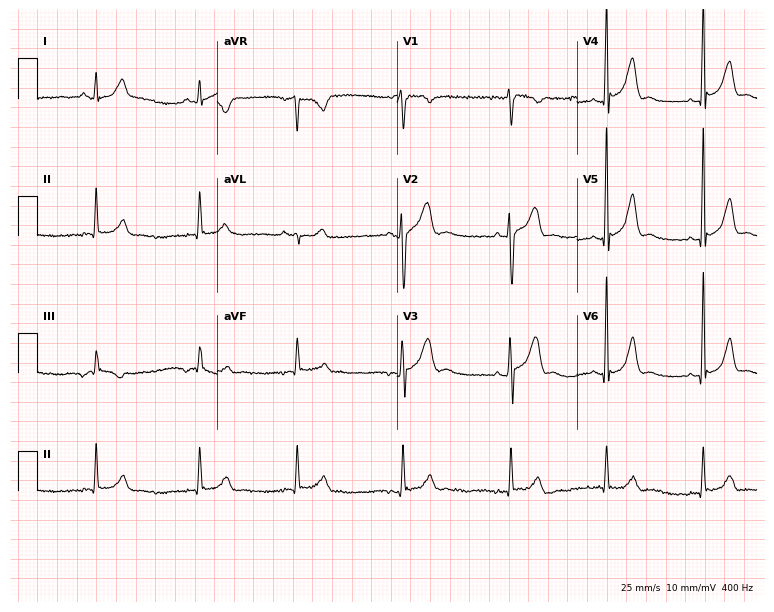
12-lead ECG from a male, 27 years old. No first-degree AV block, right bundle branch block, left bundle branch block, sinus bradycardia, atrial fibrillation or sinus tachycardia recorded for this tracing. Only these six findings were labelled.